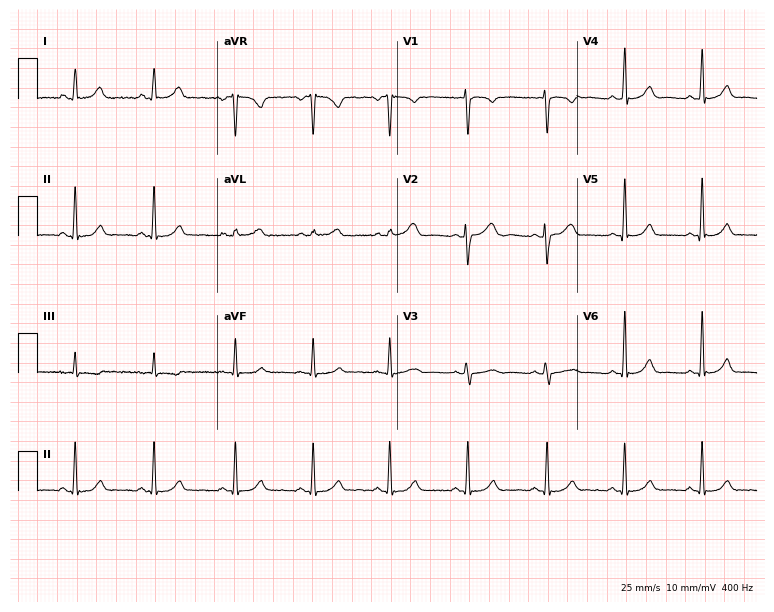
12-lead ECG from a 30-year-old woman (7.3-second recording at 400 Hz). No first-degree AV block, right bundle branch block (RBBB), left bundle branch block (LBBB), sinus bradycardia, atrial fibrillation (AF) or sinus tachycardia recorded for this tracing.